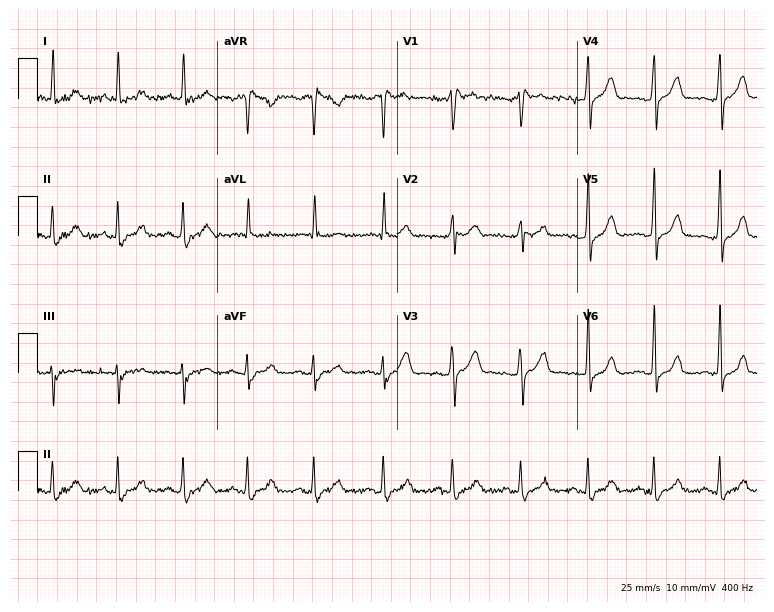
Electrocardiogram, a 33-year-old man. Interpretation includes right bundle branch block.